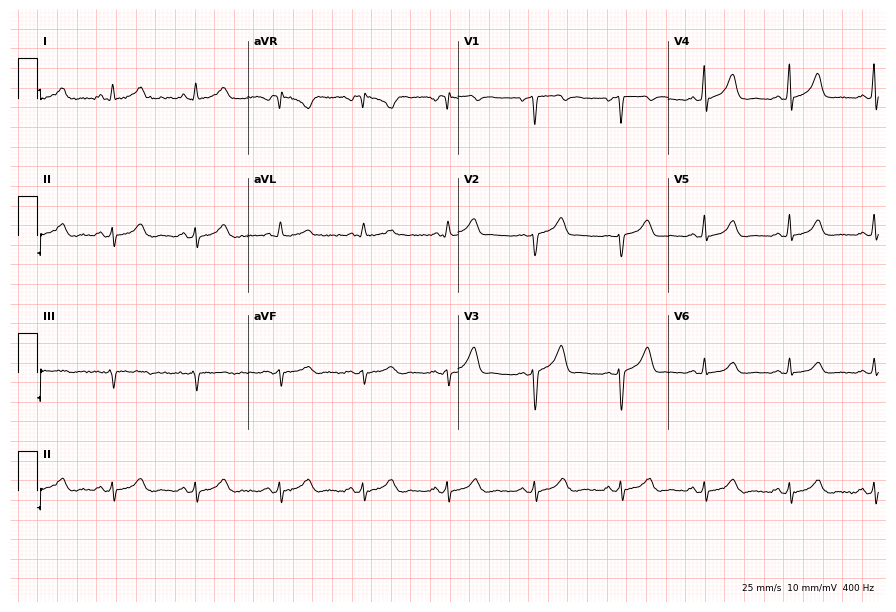
12-lead ECG from a female, 45 years old. Screened for six findings — first-degree AV block, right bundle branch block, left bundle branch block, sinus bradycardia, atrial fibrillation, sinus tachycardia — none is recorded. Other findings, if any, are not listed.